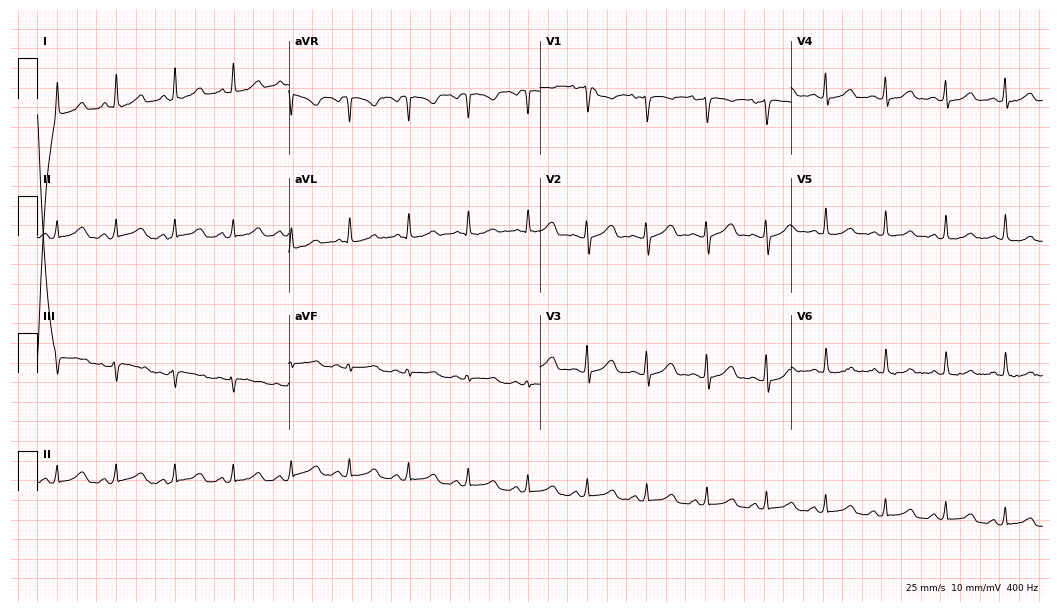
Standard 12-lead ECG recorded from a 37-year-old female. None of these six findings is recorded: first-degree AV block, right bundle branch block (RBBB), left bundle branch block (LBBB), sinus bradycardia, atrial fibrillation (AF), sinus tachycardia. Only these six findings were labelled.